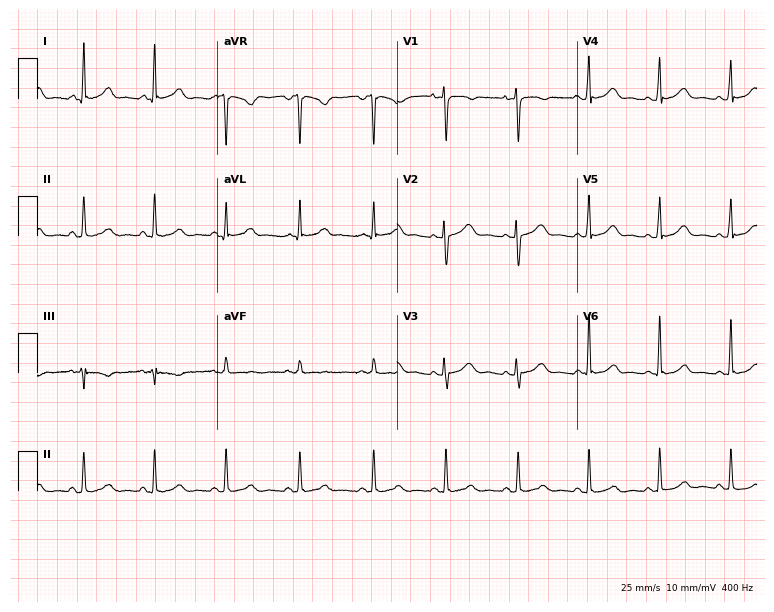
Resting 12-lead electrocardiogram (7.3-second recording at 400 Hz). Patient: a 32-year-old woman. None of these six findings is recorded: first-degree AV block, right bundle branch block (RBBB), left bundle branch block (LBBB), sinus bradycardia, atrial fibrillation (AF), sinus tachycardia. Other findings, if any, are not listed.